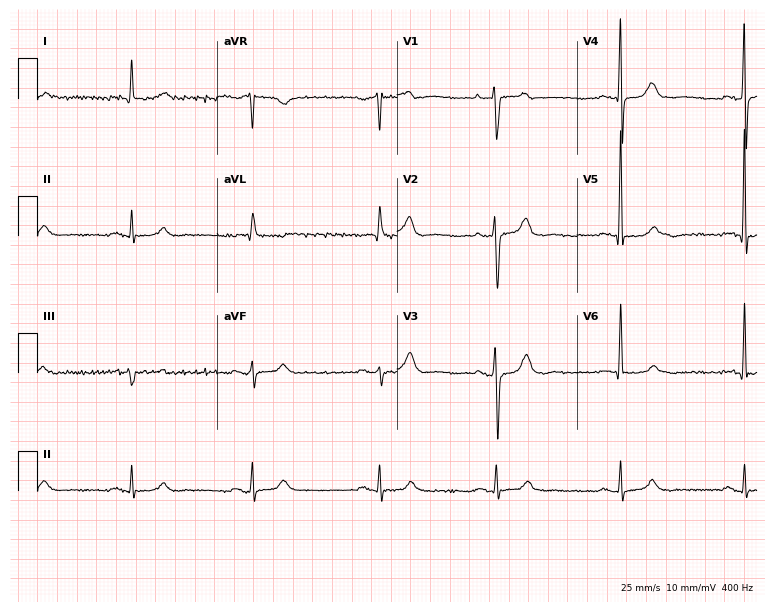
Electrocardiogram, an 80-year-old man. Interpretation includes sinus bradycardia (a sinus rate of 50 beats per minute or less).